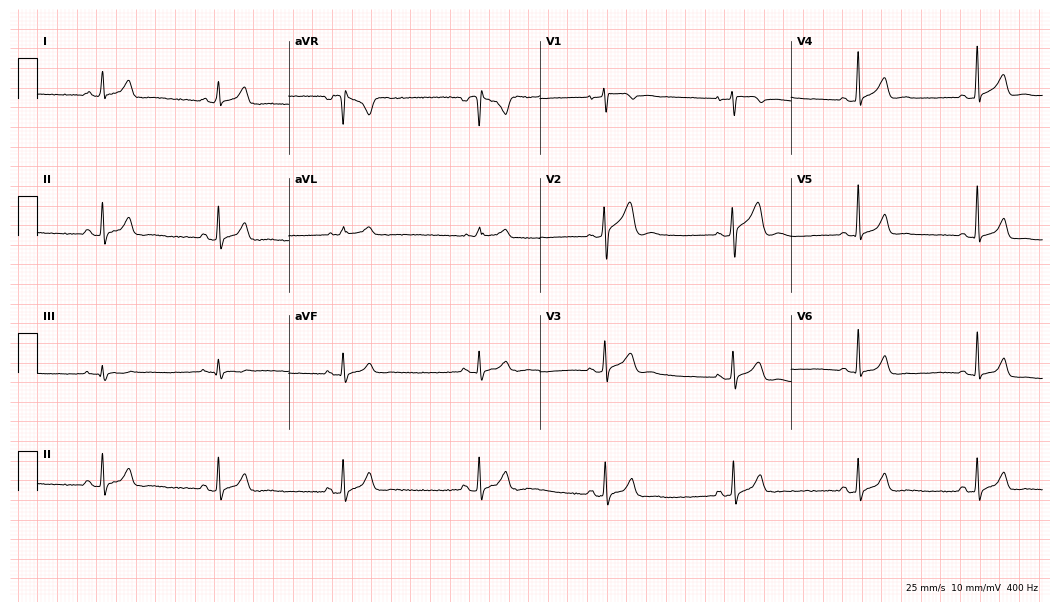
Resting 12-lead electrocardiogram. Patient: a 25-year-old male. The tracing shows sinus bradycardia (a sinus rate of 50 beats per minute or less).